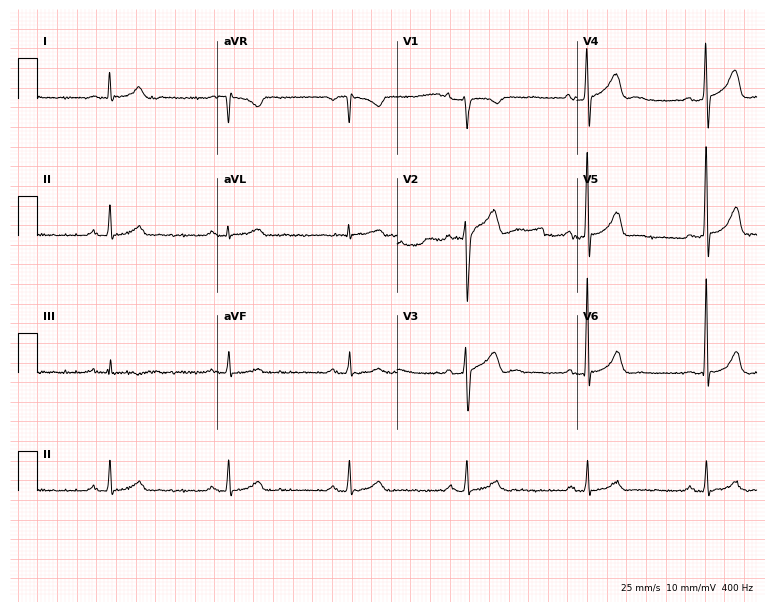
12-lead ECG from a man, 54 years old. No first-degree AV block, right bundle branch block (RBBB), left bundle branch block (LBBB), sinus bradycardia, atrial fibrillation (AF) or sinus tachycardia recorded for this tracing. Only these six findings were labelled.